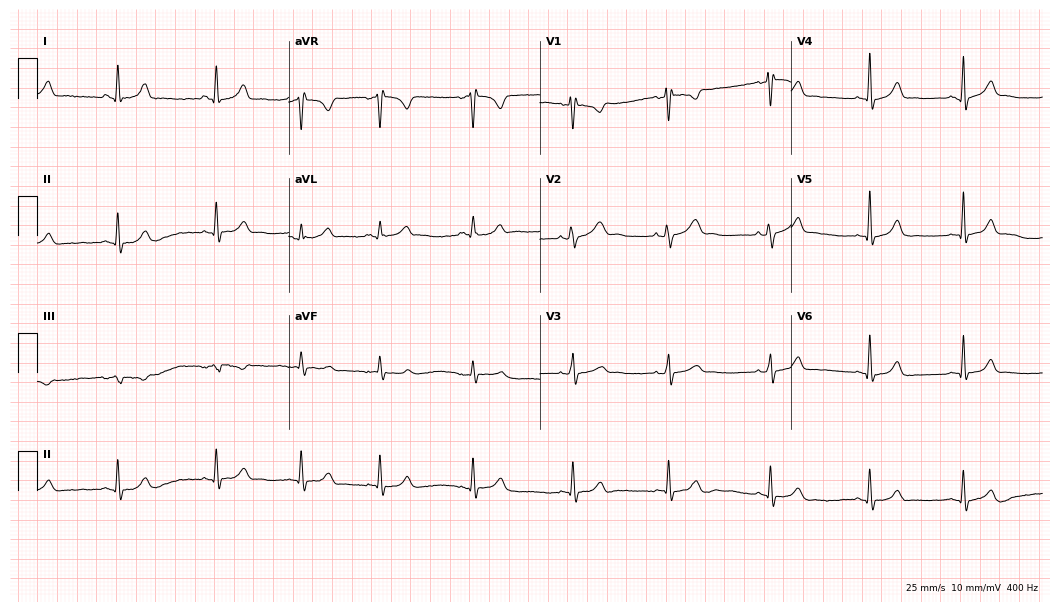
ECG (10.2-second recording at 400 Hz) — a 26-year-old female patient. Screened for six findings — first-degree AV block, right bundle branch block, left bundle branch block, sinus bradycardia, atrial fibrillation, sinus tachycardia — none is recorded. Other findings, if any, are not listed.